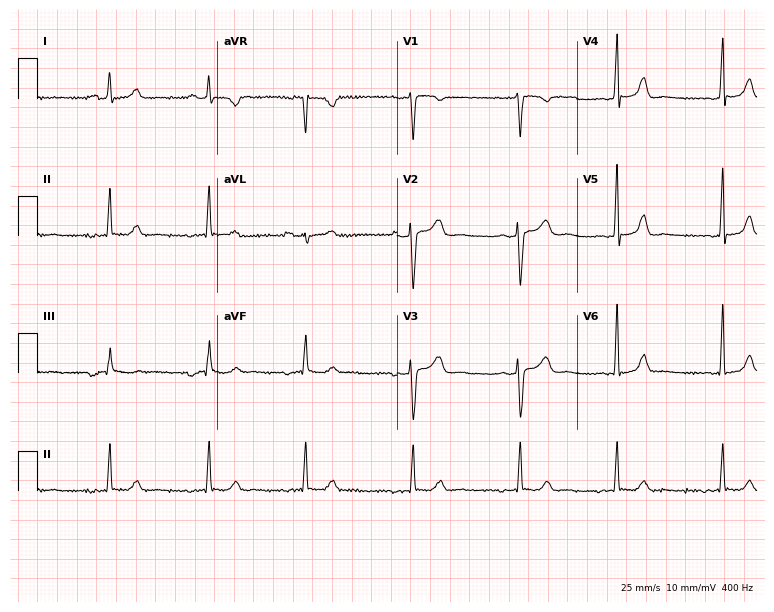
ECG — a 30-year-old female. Screened for six findings — first-degree AV block, right bundle branch block (RBBB), left bundle branch block (LBBB), sinus bradycardia, atrial fibrillation (AF), sinus tachycardia — none is recorded. Findings outside these six are not listed.